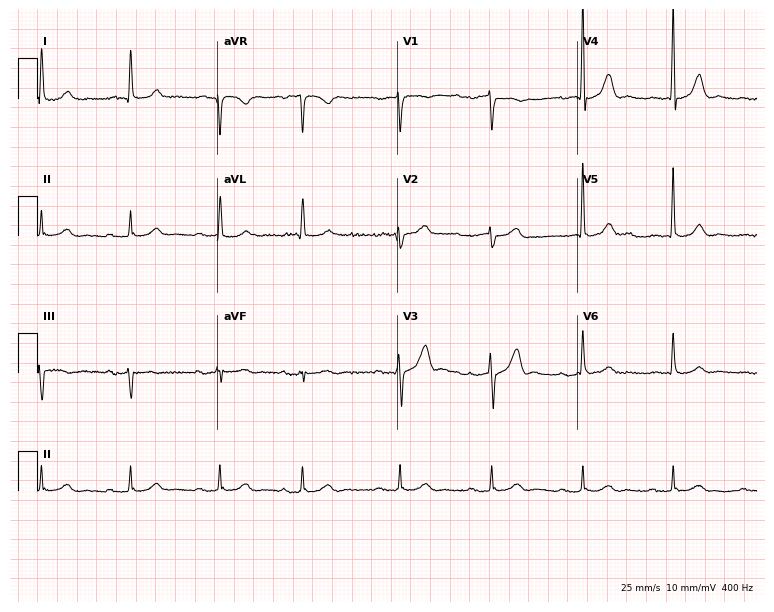
ECG (7.3-second recording at 400 Hz) — a 78-year-old male patient. Findings include first-degree AV block.